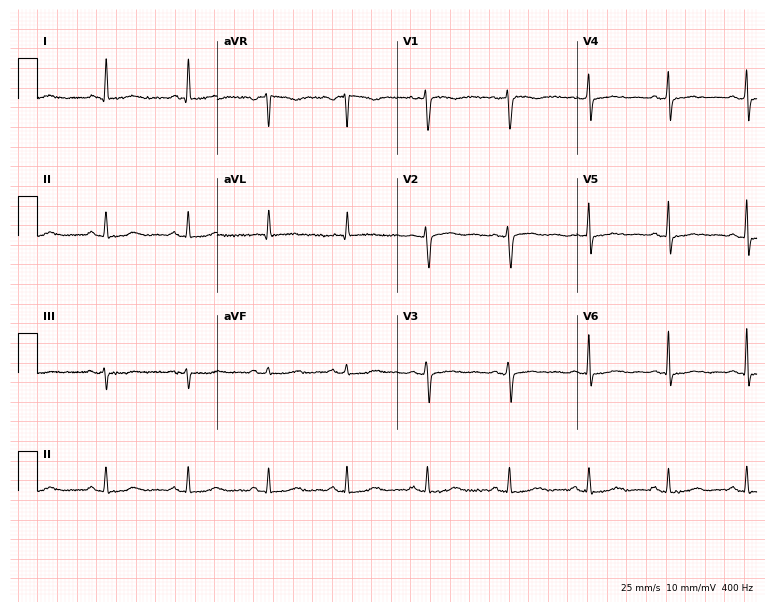
12-lead ECG (7.3-second recording at 400 Hz) from a 60-year-old woman. Screened for six findings — first-degree AV block, right bundle branch block, left bundle branch block, sinus bradycardia, atrial fibrillation, sinus tachycardia — none is recorded.